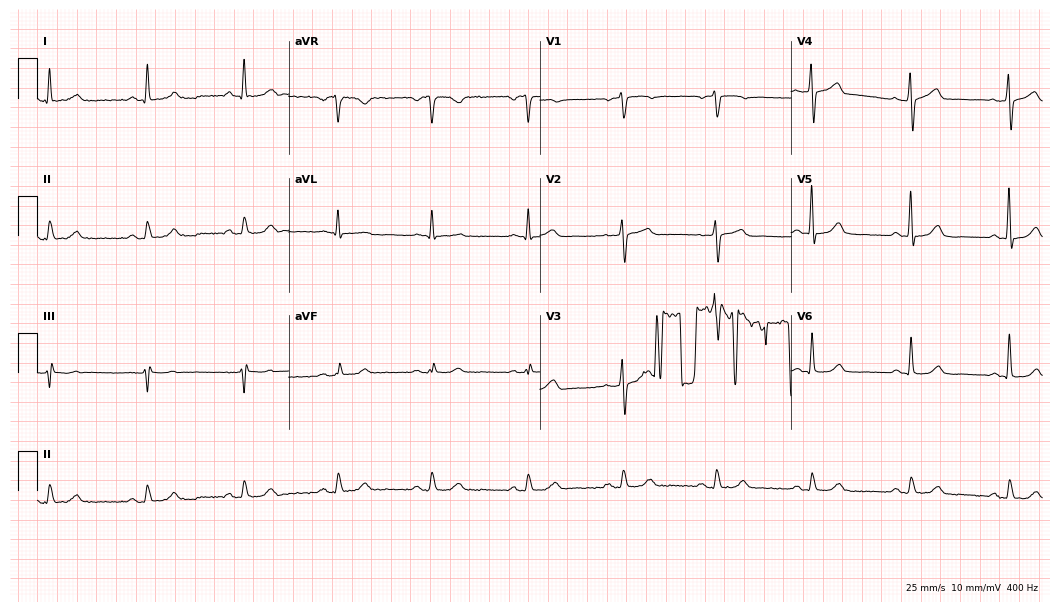
ECG — a male, 69 years old. Labelled as a normal ECG.